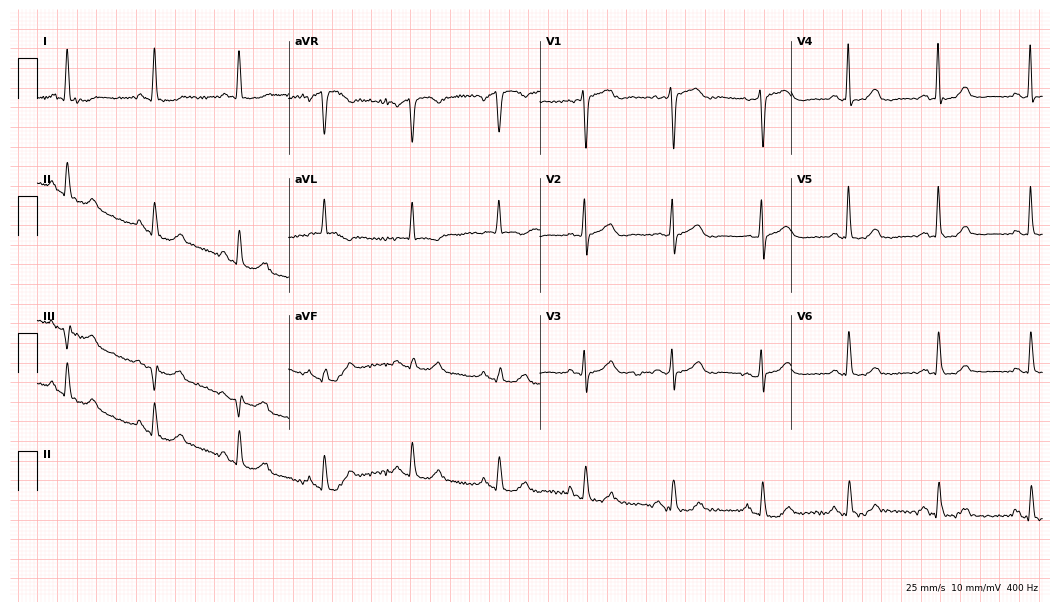
Electrocardiogram, a 79-year-old woman. Overall reading on record: normal ECG.